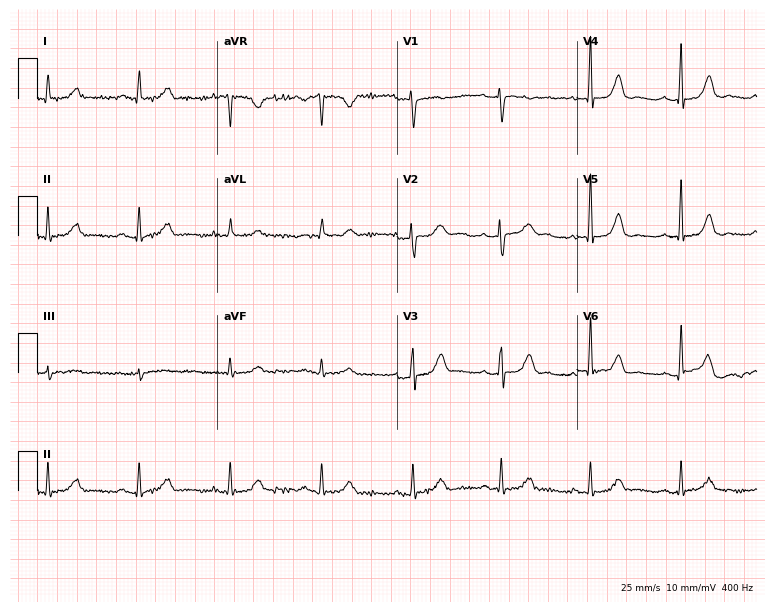
Resting 12-lead electrocardiogram. Patient: a 71-year-old female. Read as a normal ECG.